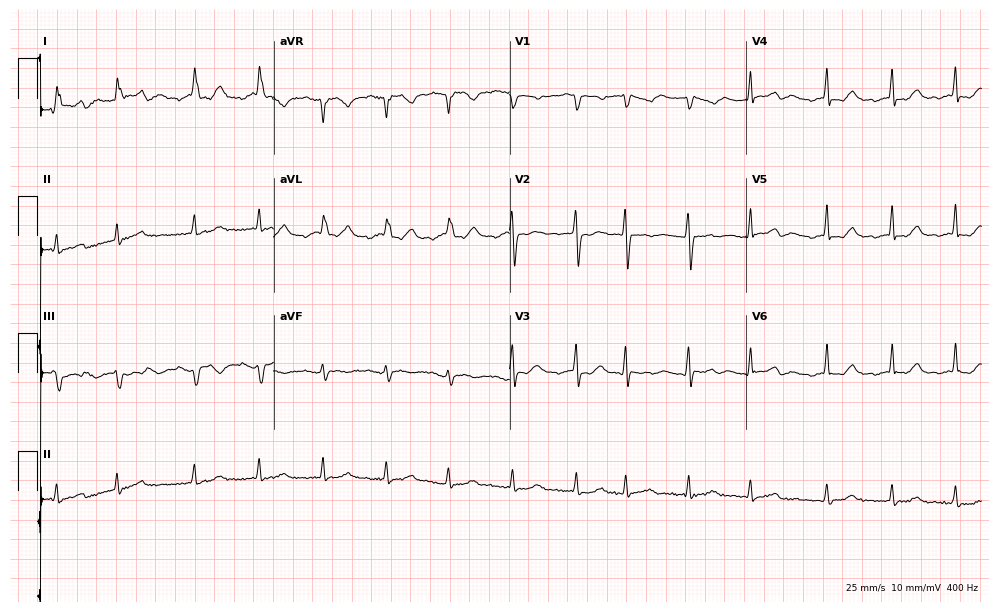
ECG (9.6-second recording at 400 Hz) — a 76-year-old female. Screened for six findings — first-degree AV block, right bundle branch block, left bundle branch block, sinus bradycardia, atrial fibrillation, sinus tachycardia — none is recorded.